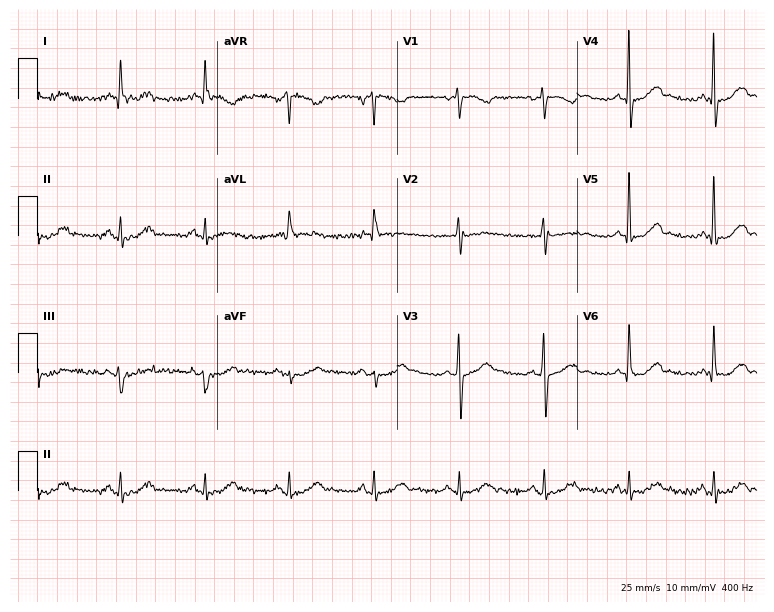
Resting 12-lead electrocardiogram. Patient: a male, 77 years old. Read as a normal ECG.